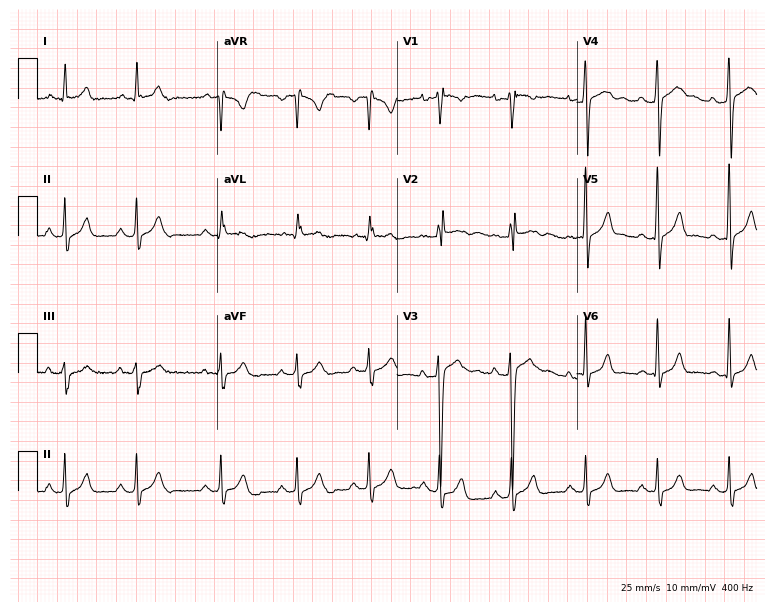
Electrocardiogram, an 18-year-old man. Of the six screened findings (first-degree AV block, right bundle branch block (RBBB), left bundle branch block (LBBB), sinus bradycardia, atrial fibrillation (AF), sinus tachycardia), none is recorded. Only these six findings were labelled.